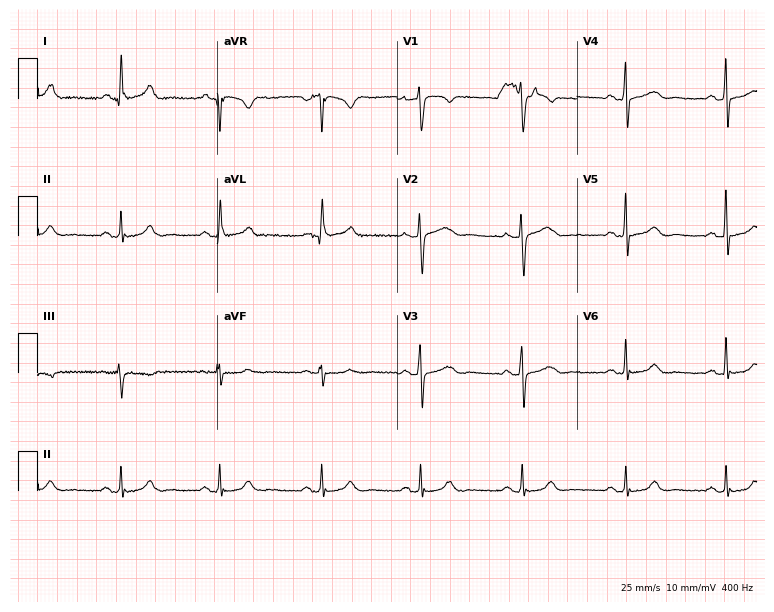
12-lead ECG (7.3-second recording at 400 Hz) from a 52-year-old female patient. Labelled as a normal ECG.